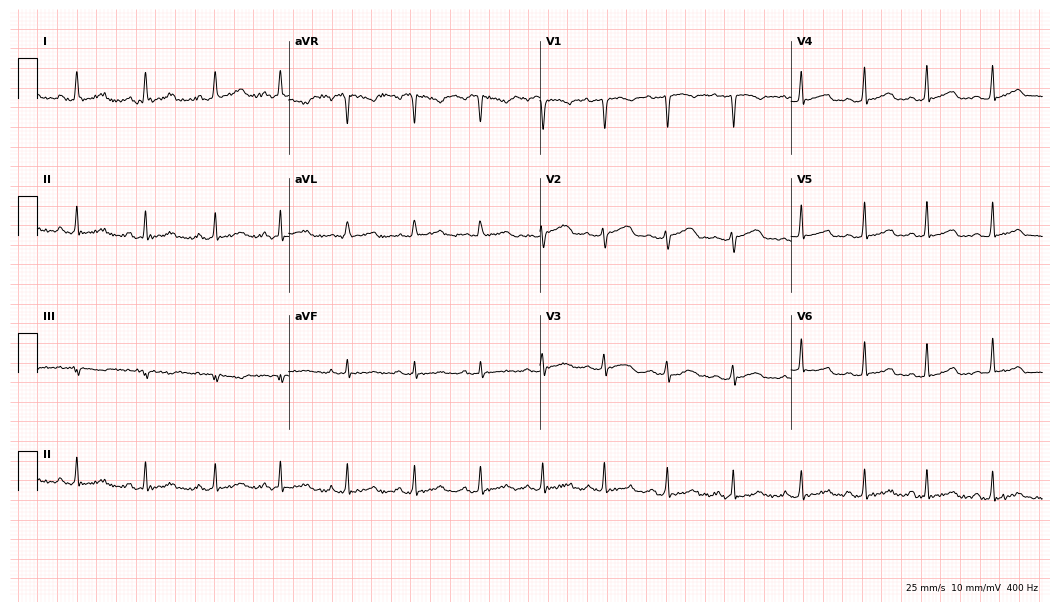
Standard 12-lead ECG recorded from a female patient, 34 years old. Read as a normal ECG.